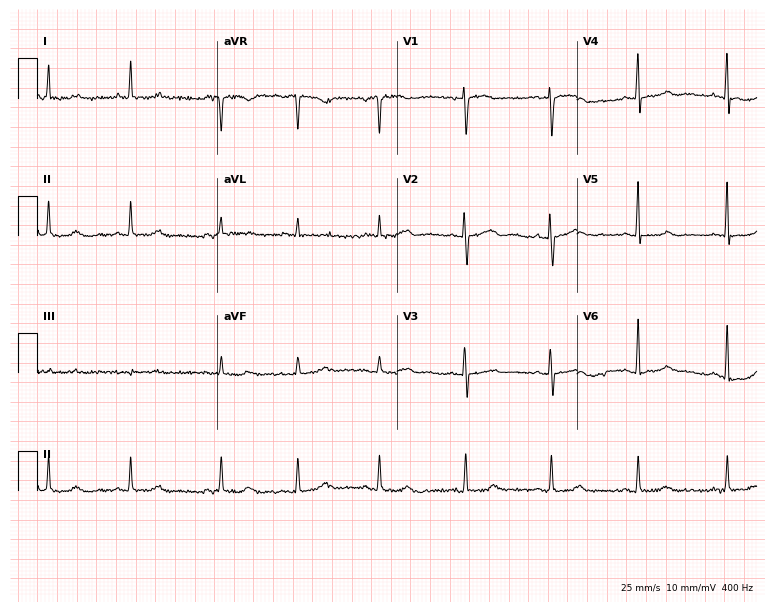
ECG (7.3-second recording at 400 Hz) — a female, 67 years old. Screened for six findings — first-degree AV block, right bundle branch block, left bundle branch block, sinus bradycardia, atrial fibrillation, sinus tachycardia — none is recorded.